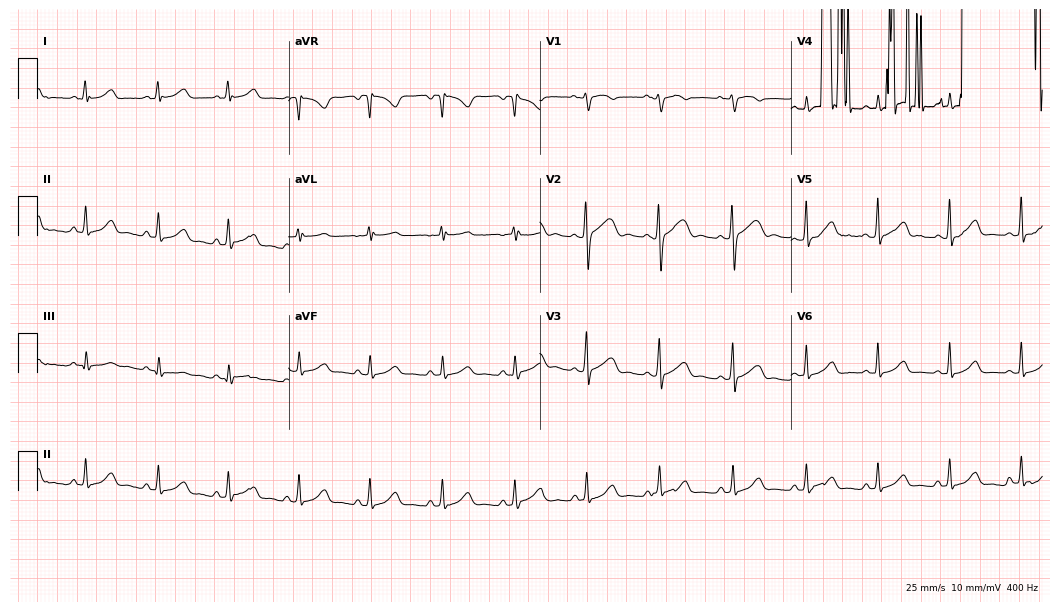
ECG (10.2-second recording at 400 Hz) — a 32-year-old woman. Screened for six findings — first-degree AV block, right bundle branch block (RBBB), left bundle branch block (LBBB), sinus bradycardia, atrial fibrillation (AF), sinus tachycardia — none is recorded. Only these six findings were labelled.